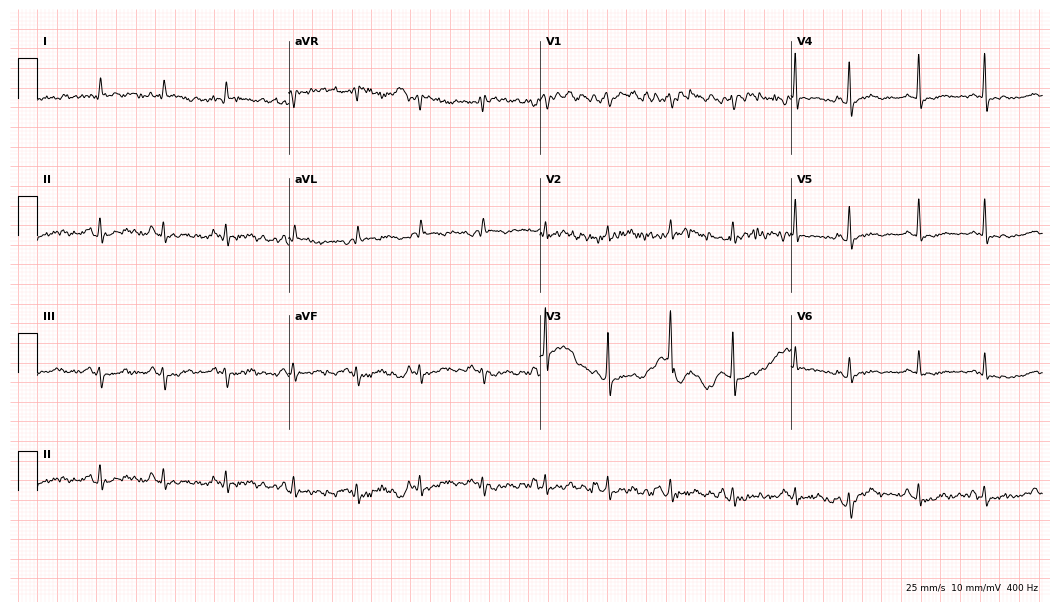
ECG (10.2-second recording at 400 Hz) — a man, 71 years old. Screened for six findings — first-degree AV block, right bundle branch block, left bundle branch block, sinus bradycardia, atrial fibrillation, sinus tachycardia — none is recorded.